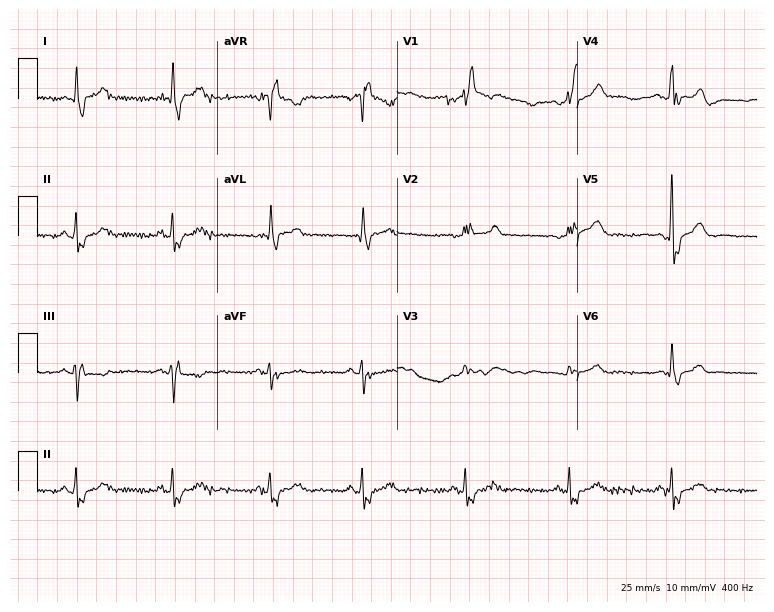
12-lead ECG from a male, 51 years old (7.3-second recording at 400 Hz). Shows right bundle branch block (RBBB).